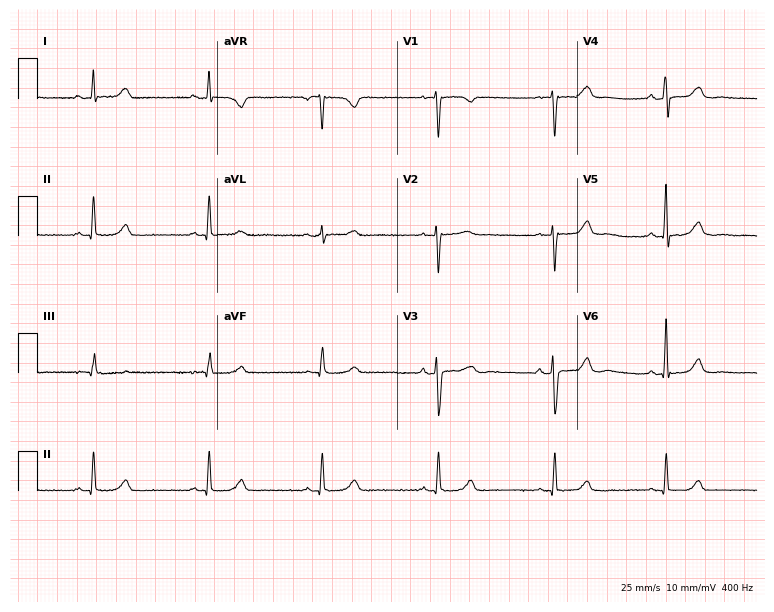
Electrocardiogram (7.3-second recording at 400 Hz), a 61-year-old woman. Overall reading on record: normal ECG.